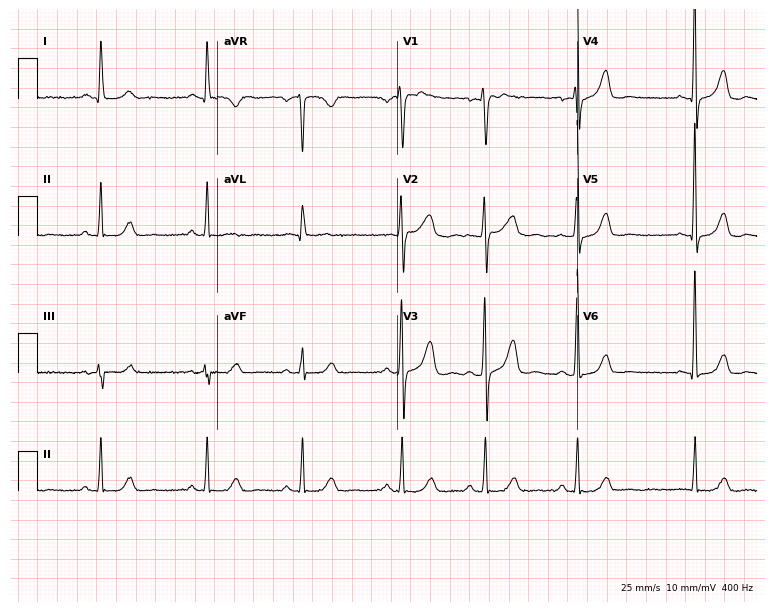
Electrocardiogram (7.3-second recording at 400 Hz), a woman, 74 years old. Overall reading on record: normal ECG.